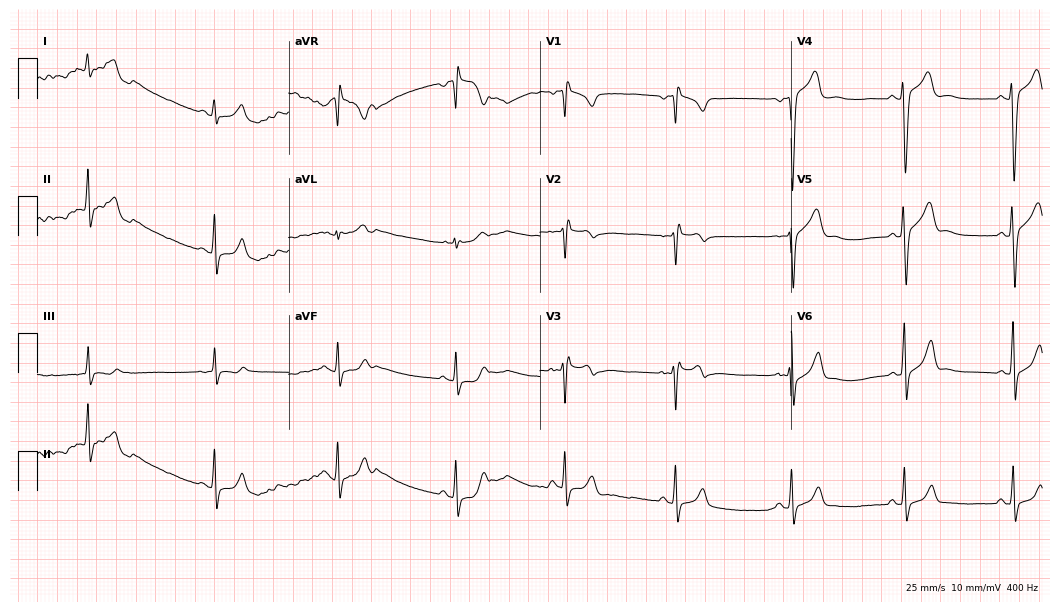
Electrocardiogram, a man, 18 years old. Of the six screened findings (first-degree AV block, right bundle branch block, left bundle branch block, sinus bradycardia, atrial fibrillation, sinus tachycardia), none is recorded.